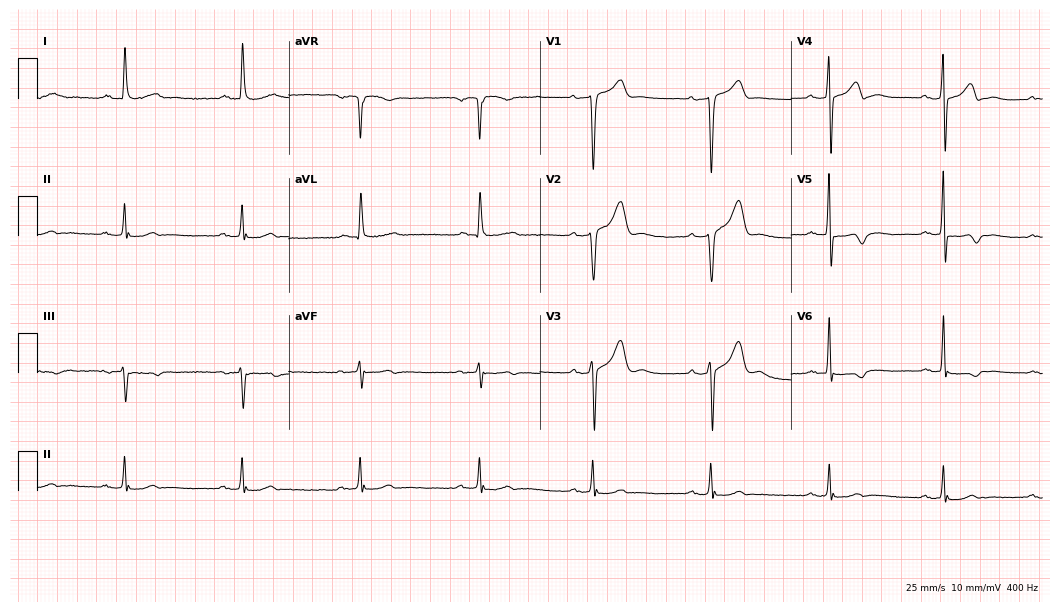
Resting 12-lead electrocardiogram. Patient: a male, 66 years old. None of these six findings is recorded: first-degree AV block, right bundle branch block (RBBB), left bundle branch block (LBBB), sinus bradycardia, atrial fibrillation (AF), sinus tachycardia. Only these six findings were labelled.